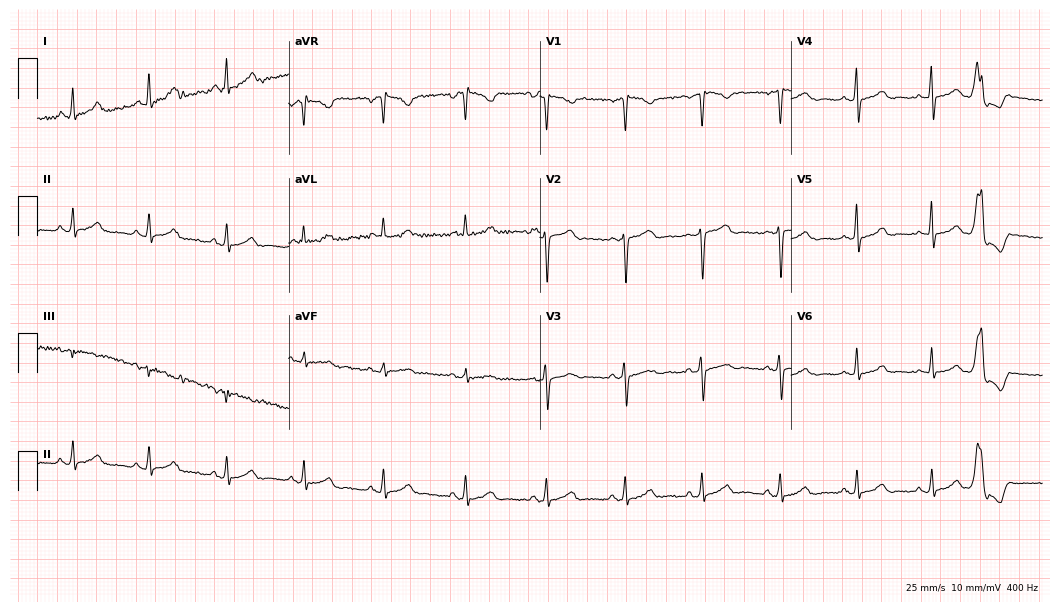
ECG — a 52-year-old female patient. Labelled as a normal ECG.